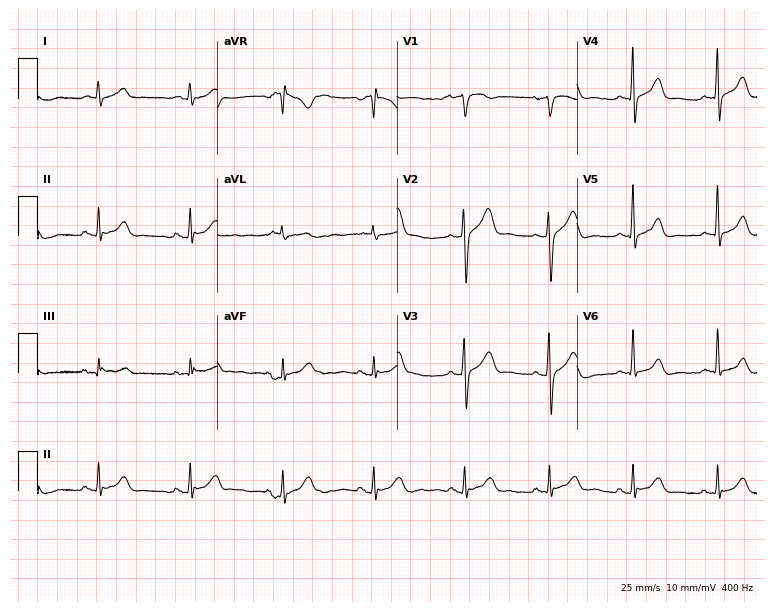
Resting 12-lead electrocardiogram. Patient: a 41-year-old male. None of these six findings is recorded: first-degree AV block, right bundle branch block, left bundle branch block, sinus bradycardia, atrial fibrillation, sinus tachycardia. Findings outside these six are not listed.